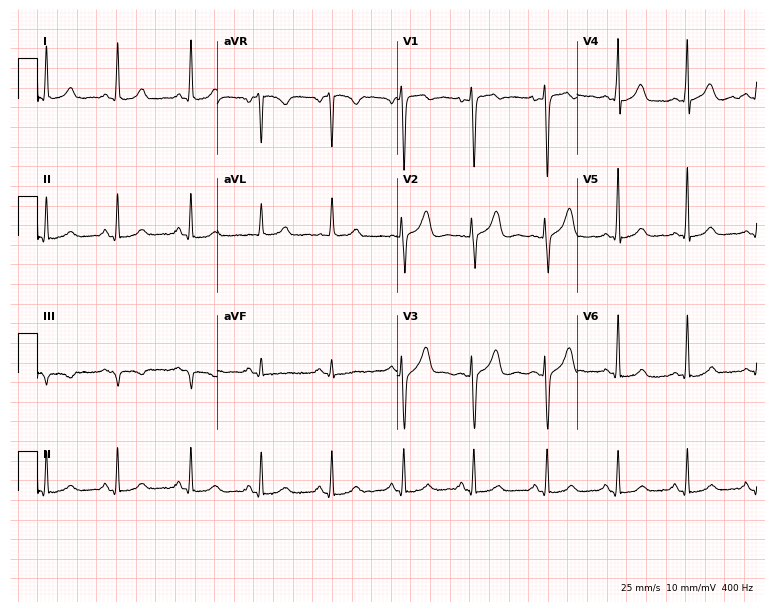
Standard 12-lead ECG recorded from a woman, 41 years old (7.3-second recording at 400 Hz). None of these six findings is recorded: first-degree AV block, right bundle branch block, left bundle branch block, sinus bradycardia, atrial fibrillation, sinus tachycardia. Findings outside these six are not listed.